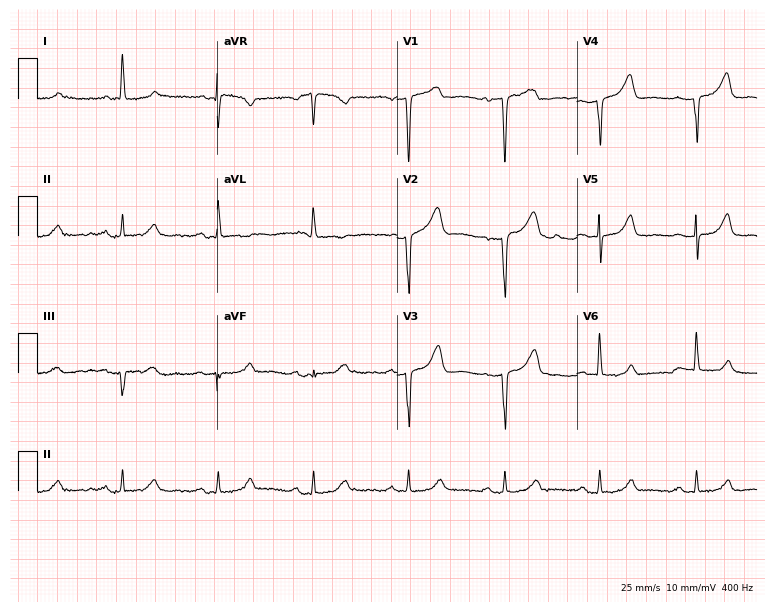
Electrocardiogram, a woman, 67 years old. Of the six screened findings (first-degree AV block, right bundle branch block (RBBB), left bundle branch block (LBBB), sinus bradycardia, atrial fibrillation (AF), sinus tachycardia), none is recorded. Findings outside these six are not listed.